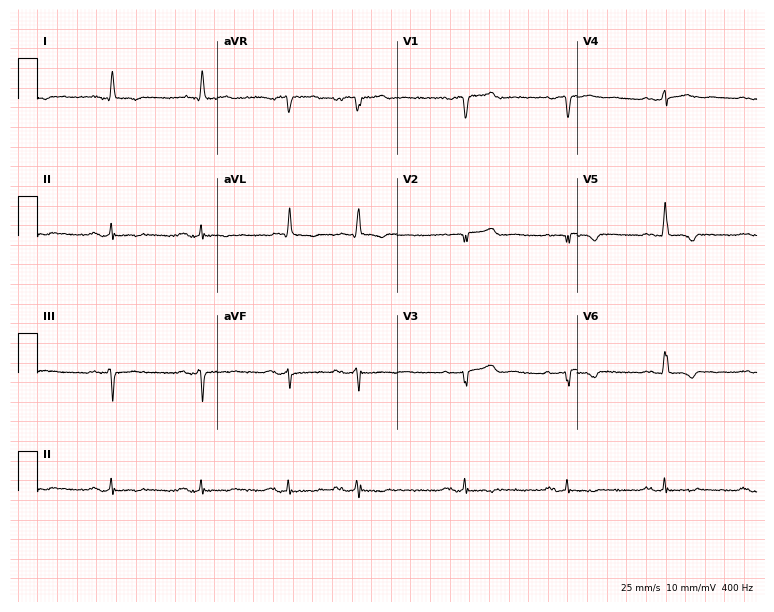
12-lead ECG from an 85-year-old man. Screened for six findings — first-degree AV block, right bundle branch block, left bundle branch block, sinus bradycardia, atrial fibrillation, sinus tachycardia — none is recorded.